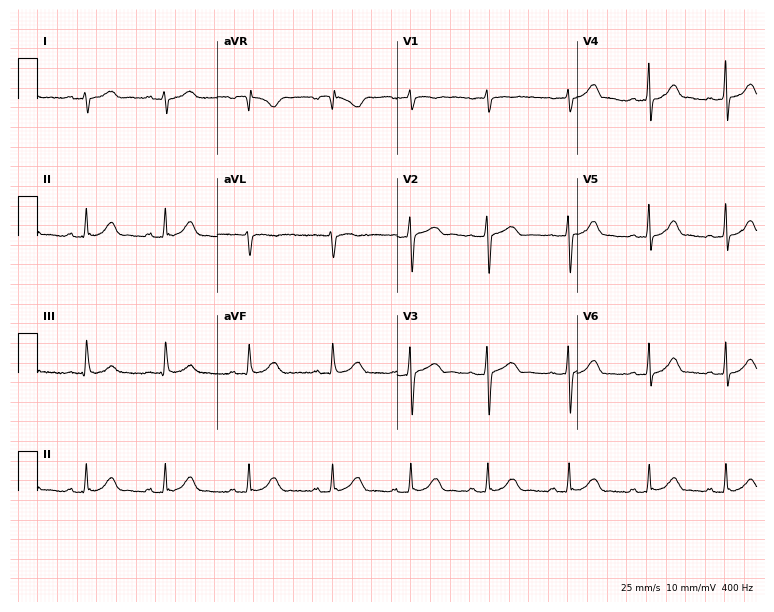
12-lead ECG from a 17-year-old woman. Recorded interpretation: within normal limits.